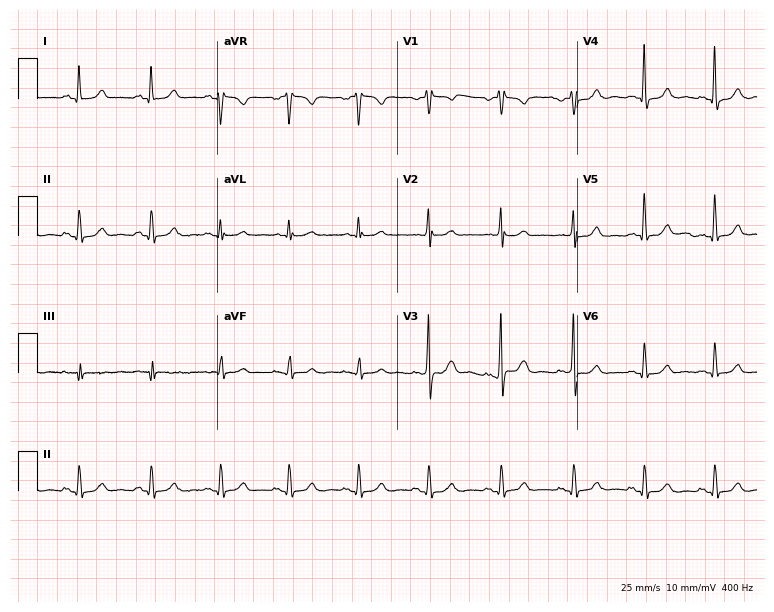
Resting 12-lead electrocardiogram (7.3-second recording at 400 Hz). Patient: a 52-year-old female. None of these six findings is recorded: first-degree AV block, right bundle branch block (RBBB), left bundle branch block (LBBB), sinus bradycardia, atrial fibrillation (AF), sinus tachycardia.